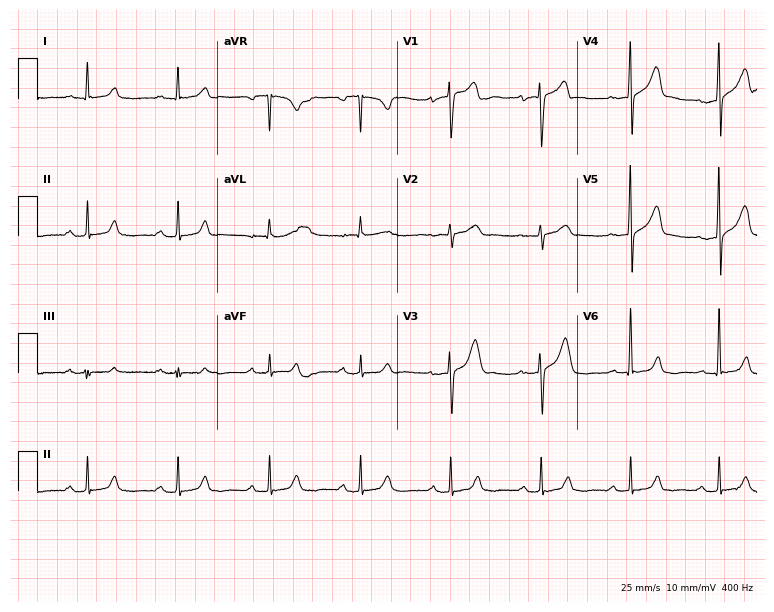
Standard 12-lead ECG recorded from a 51-year-old man. Read as a normal ECG.